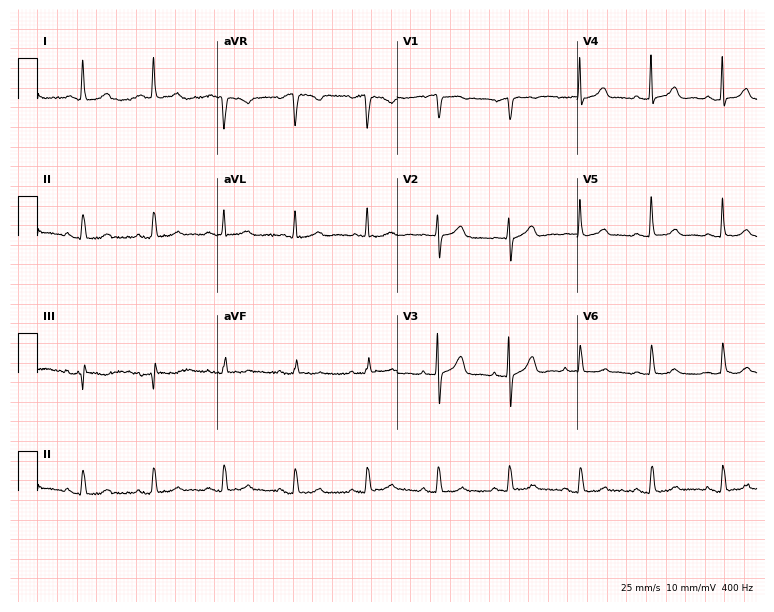
12-lead ECG (7.3-second recording at 400 Hz) from an 84-year-old female. Labelled as a normal ECG.